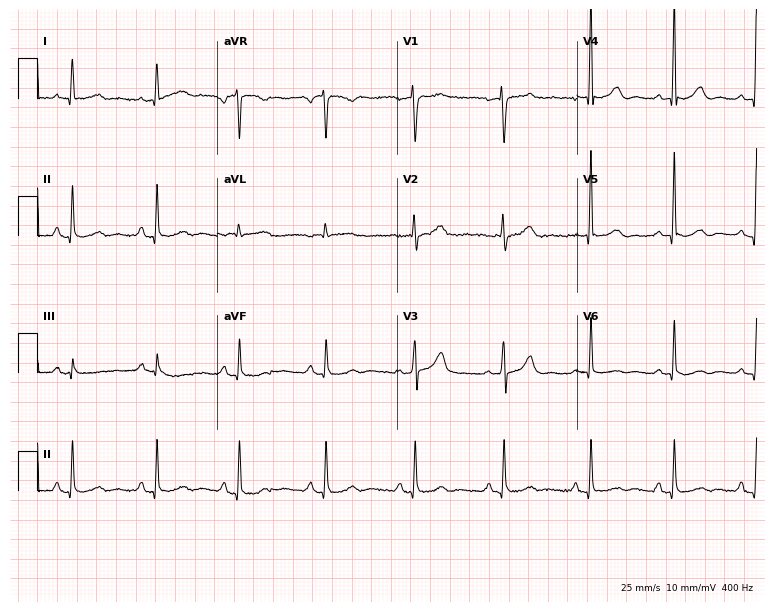
ECG (7.3-second recording at 400 Hz) — a woman, 53 years old. Labelled as a normal ECG.